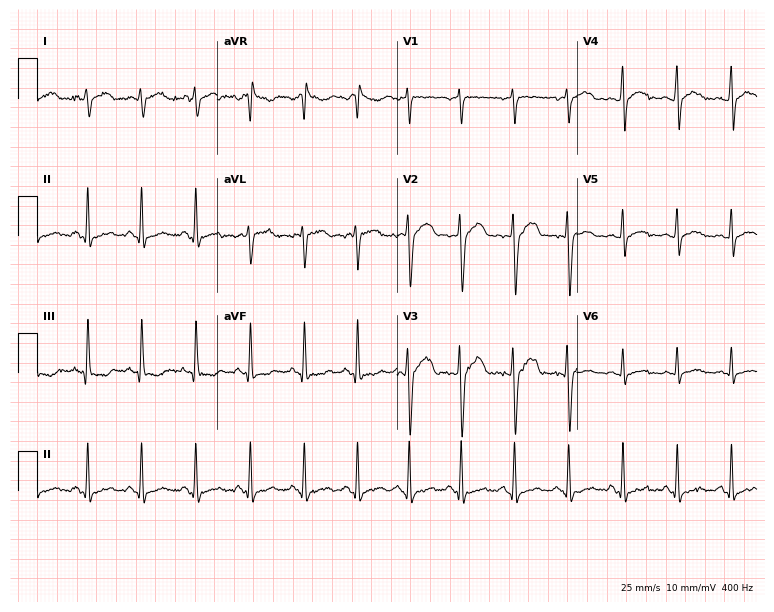
Resting 12-lead electrocardiogram. Patient: a 34-year-old male. The tracing shows sinus tachycardia (a sinus rate of 100 beats per minute or more).